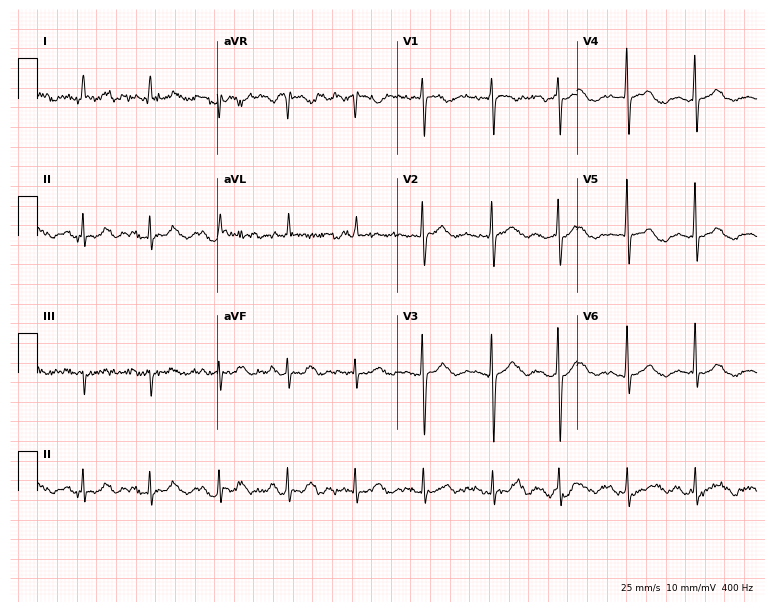
Resting 12-lead electrocardiogram. Patient: a 79-year-old female. Read as a normal ECG.